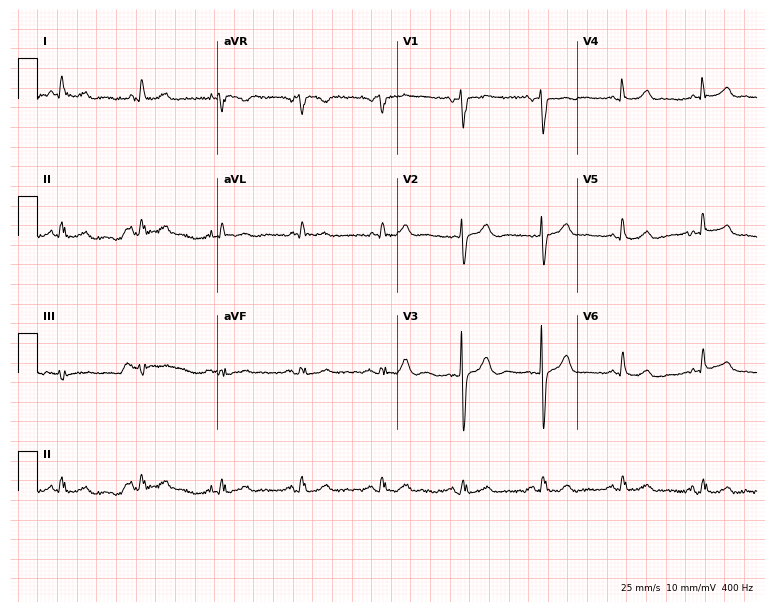
ECG (7.3-second recording at 400 Hz) — a woman, 82 years old. Labelled as a normal ECG.